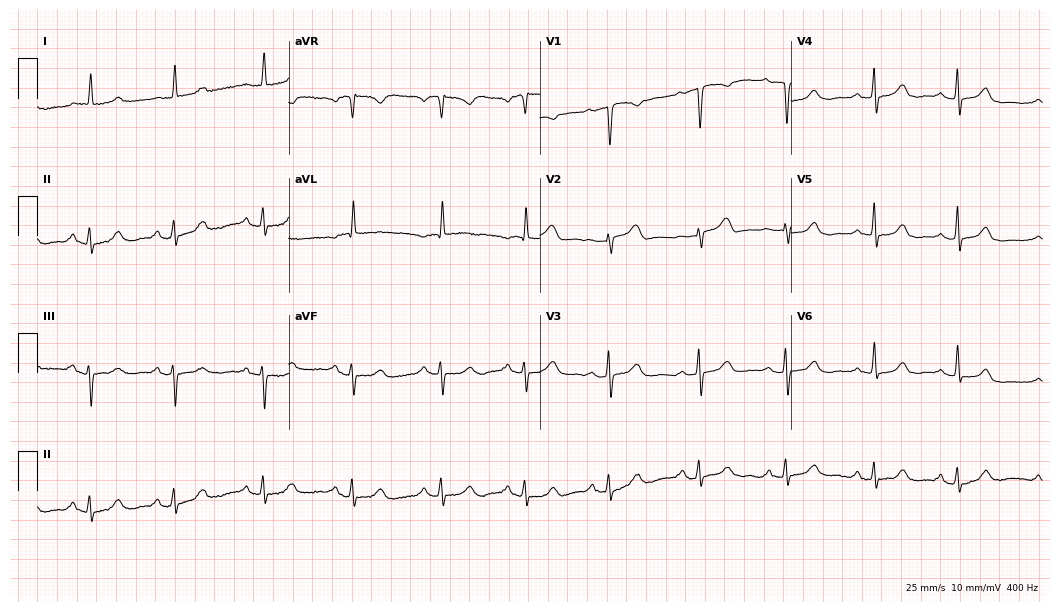
12-lead ECG (10.2-second recording at 400 Hz) from an 85-year-old female patient. Labelled as a normal ECG.